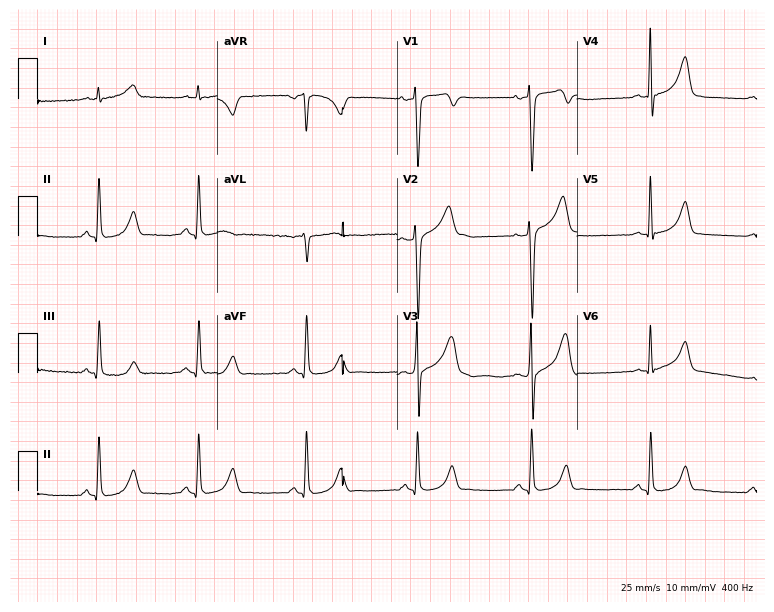
12-lead ECG (7.3-second recording at 400 Hz) from a male, 34 years old. Screened for six findings — first-degree AV block, right bundle branch block, left bundle branch block, sinus bradycardia, atrial fibrillation, sinus tachycardia — none is recorded. Only these six findings were labelled.